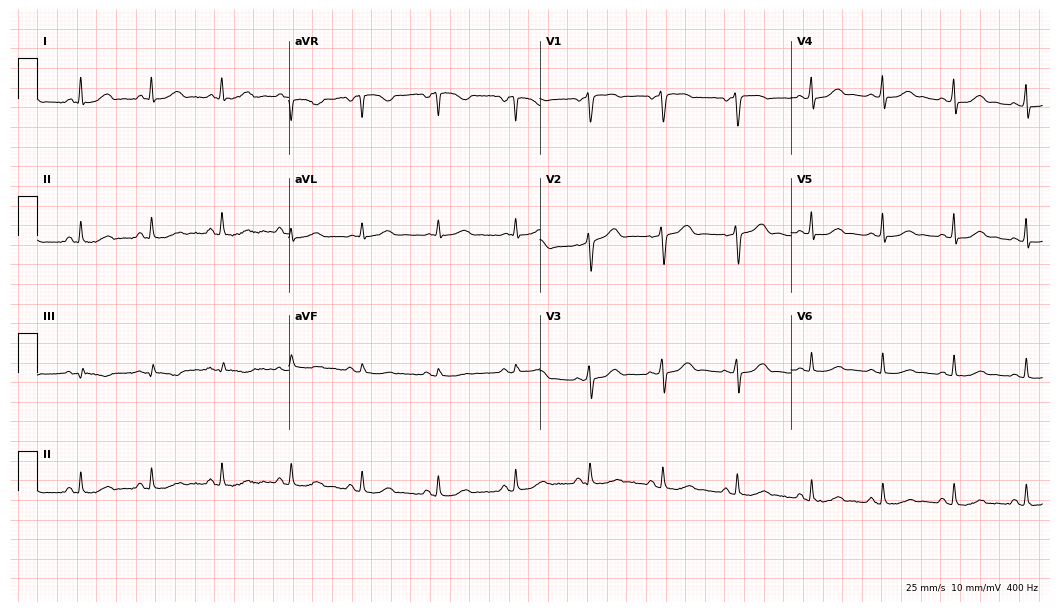
ECG — a 47-year-old female. Labelled as a normal ECG.